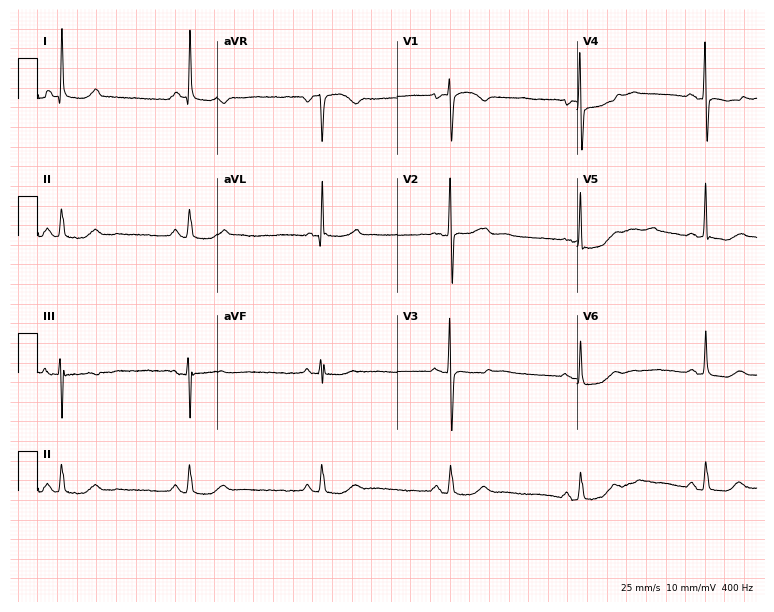
Standard 12-lead ECG recorded from a female, 60 years old. The tracing shows sinus bradycardia (a sinus rate of 50 beats per minute or less).